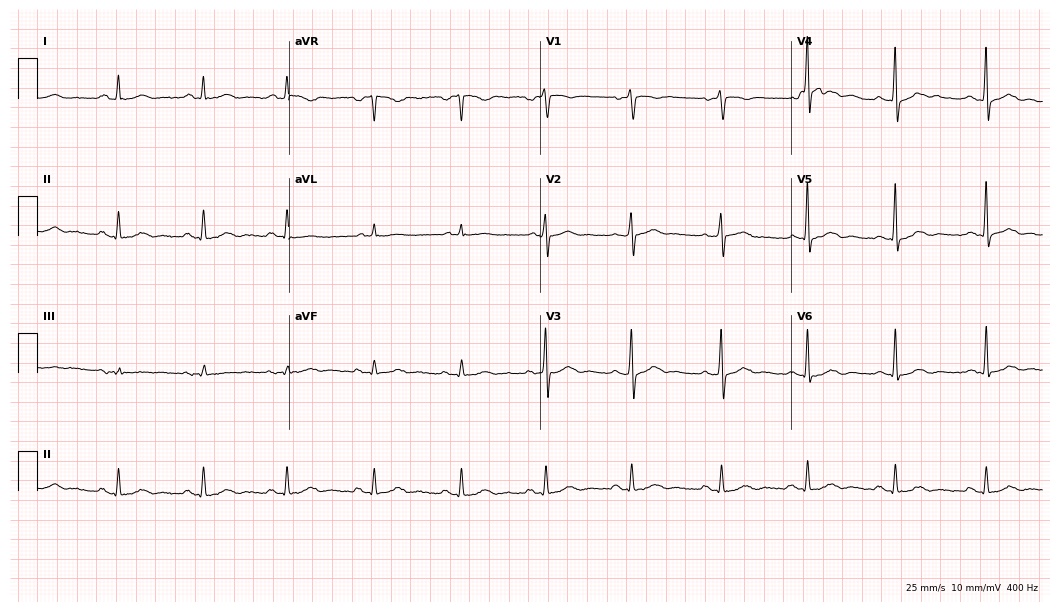
12-lead ECG (10.2-second recording at 400 Hz) from a male patient, 64 years old. Screened for six findings — first-degree AV block, right bundle branch block (RBBB), left bundle branch block (LBBB), sinus bradycardia, atrial fibrillation (AF), sinus tachycardia — none is recorded.